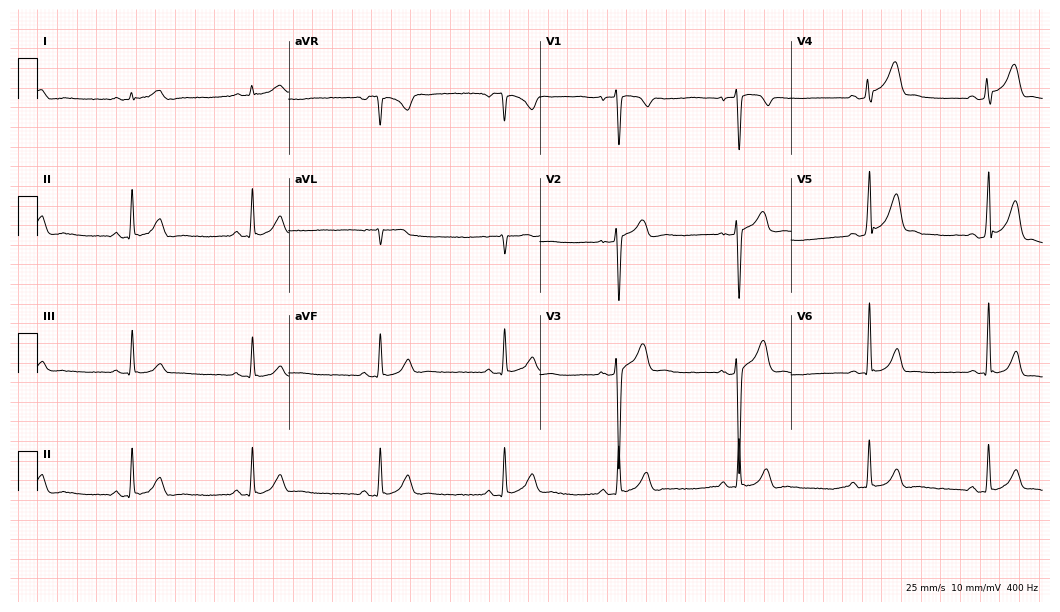
Resting 12-lead electrocardiogram (10.2-second recording at 400 Hz). Patient: a man, 25 years old. Read as a normal ECG.